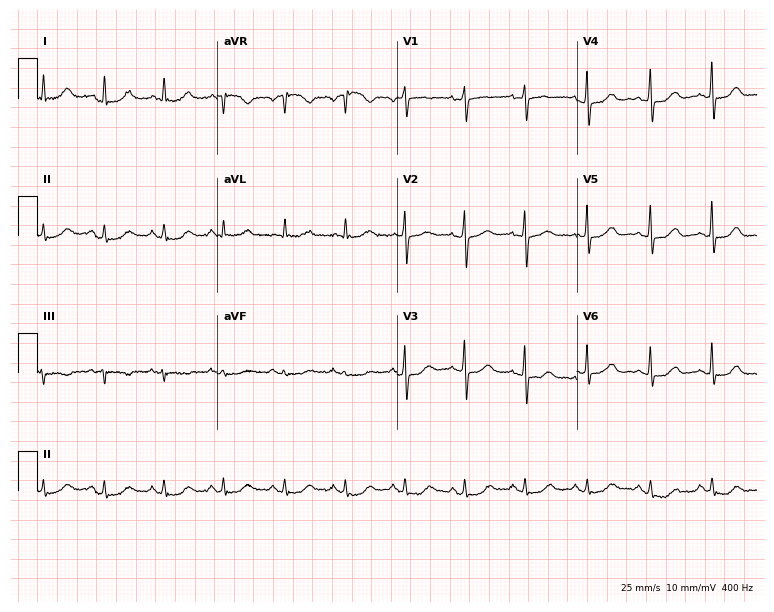
Resting 12-lead electrocardiogram. Patient: a 60-year-old woman. None of these six findings is recorded: first-degree AV block, right bundle branch block, left bundle branch block, sinus bradycardia, atrial fibrillation, sinus tachycardia.